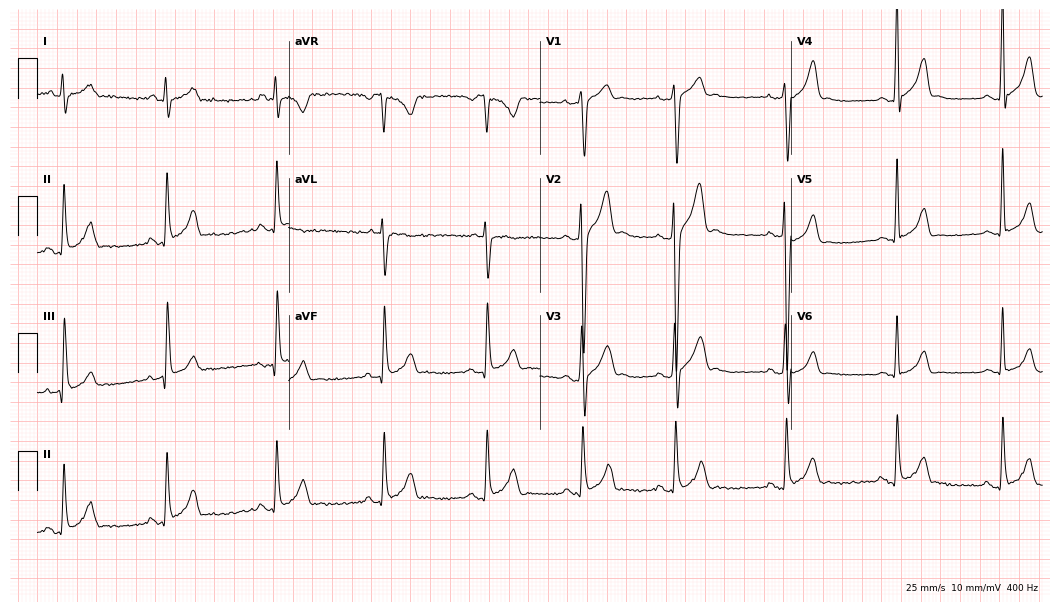
Resting 12-lead electrocardiogram. Patient: a 21-year-old male. None of these six findings is recorded: first-degree AV block, right bundle branch block, left bundle branch block, sinus bradycardia, atrial fibrillation, sinus tachycardia. Findings outside these six are not listed.